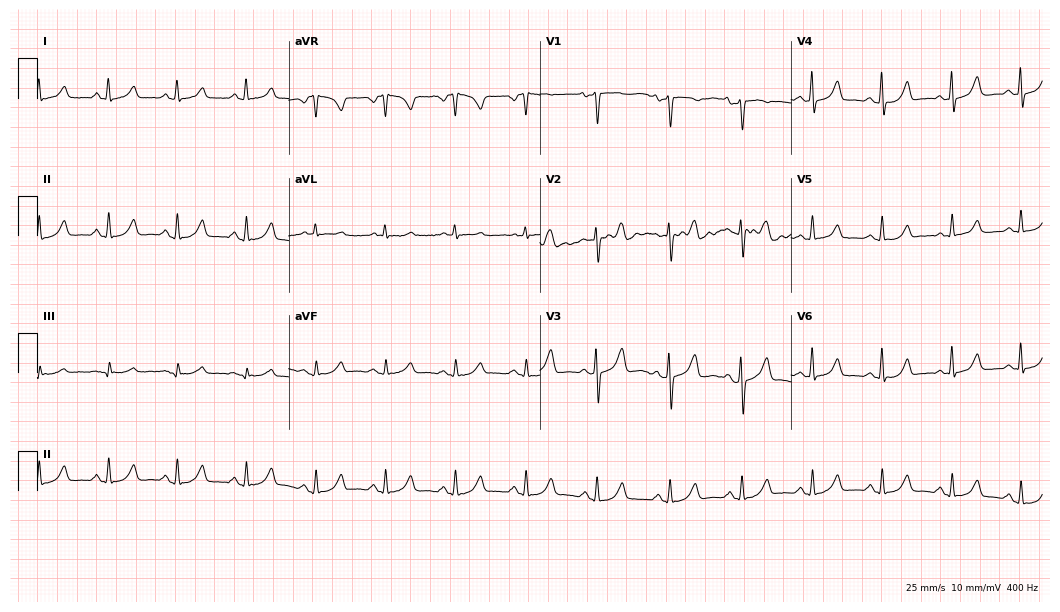
12-lead ECG from a 62-year-old female patient. No first-degree AV block, right bundle branch block, left bundle branch block, sinus bradycardia, atrial fibrillation or sinus tachycardia recorded for this tracing.